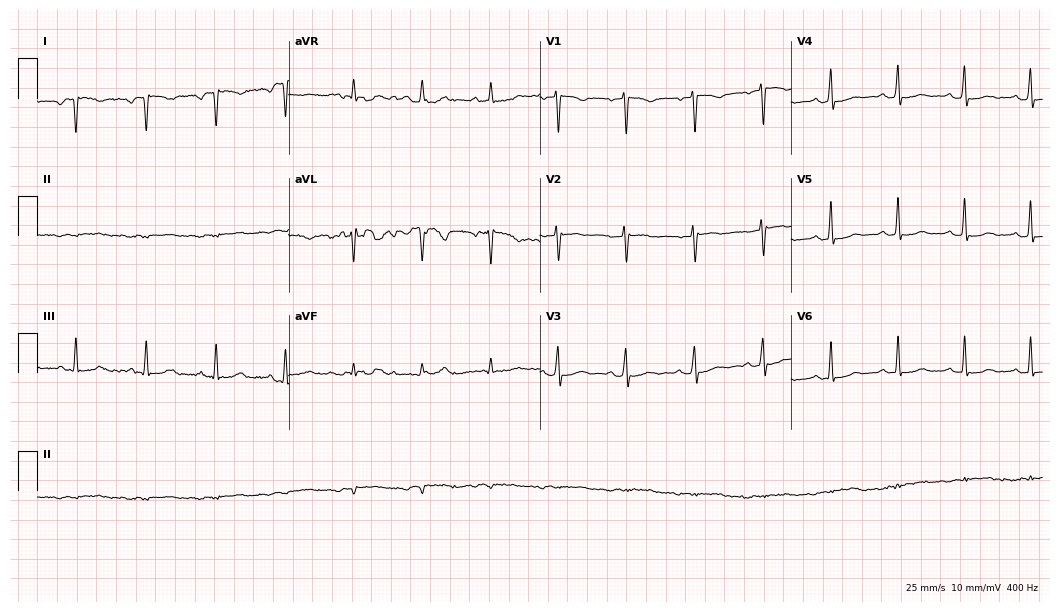
12-lead ECG from a 45-year-old woman. No first-degree AV block, right bundle branch block, left bundle branch block, sinus bradycardia, atrial fibrillation or sinus tachycardia recorded for this tracing. Only these six findings were labelled.